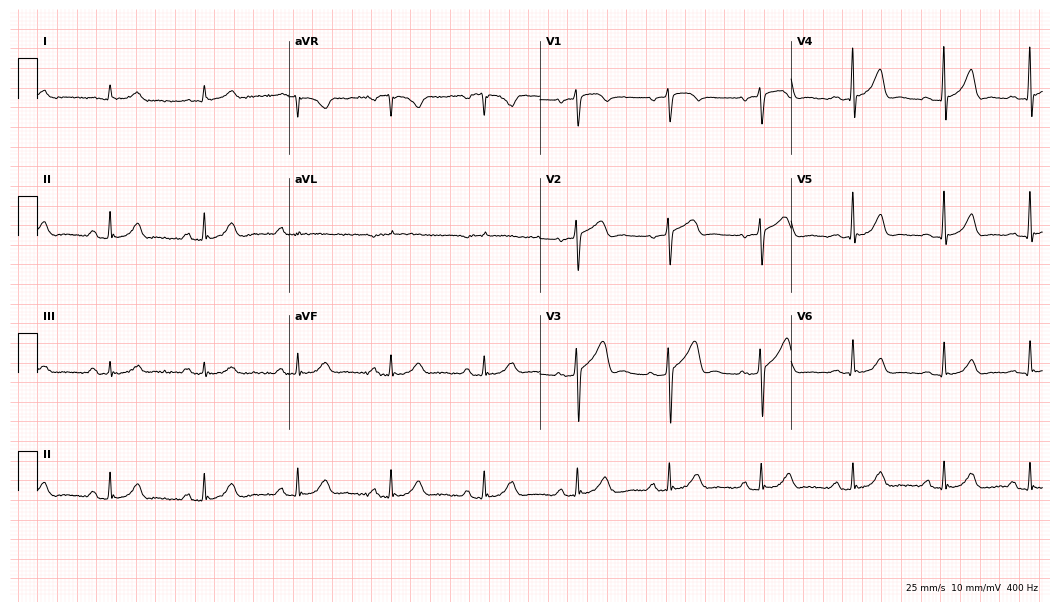
12-lead ECG from a man, 72 years old. Labelled as a normal ECG.